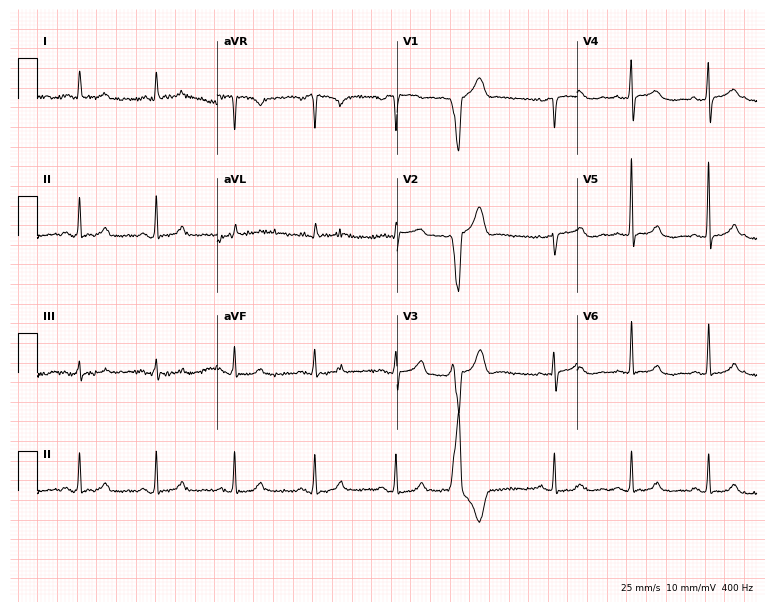
ECG (7.3-second recording at 400 Hz) — a female patient, 46 years old. Screened for six findings — first-degree AV block, right bundle branch block, left bundle branch block, sinus bradycardia, atrial fibrillation, sinus tachycardia — none is recorded.